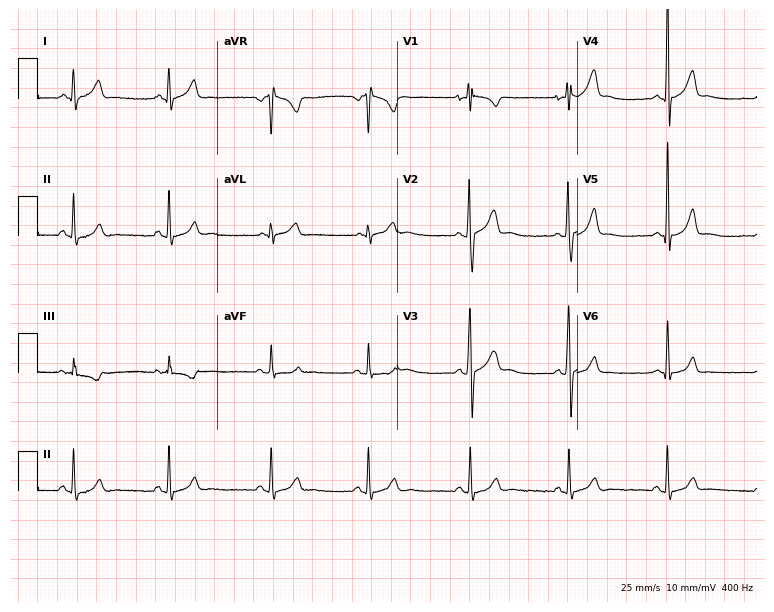
Standard 12-lead ECG recorded from a man, 17 years old (7.3-second recording at 400 Hz). Read as a normal ECG.